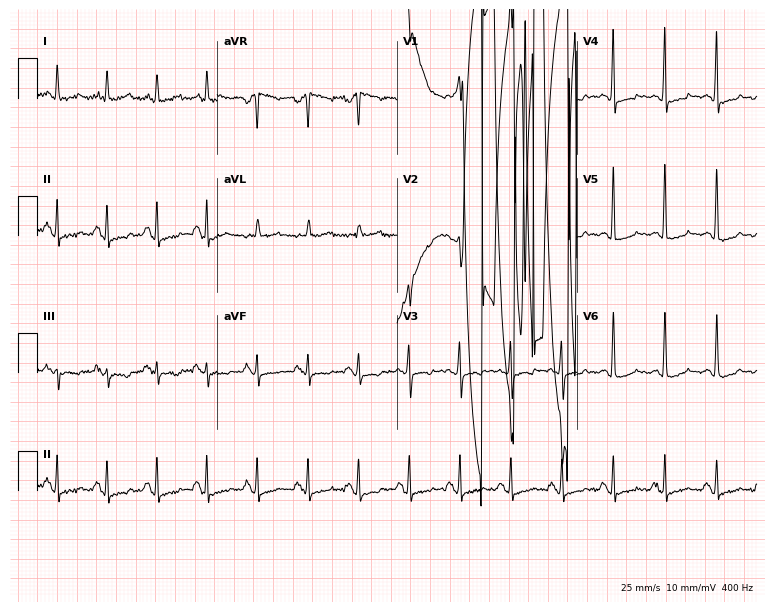
Resting 12-lead electrocardiogram. Patient: a woman, 43 years old. The tracing shows atrial fibrillation (AF).